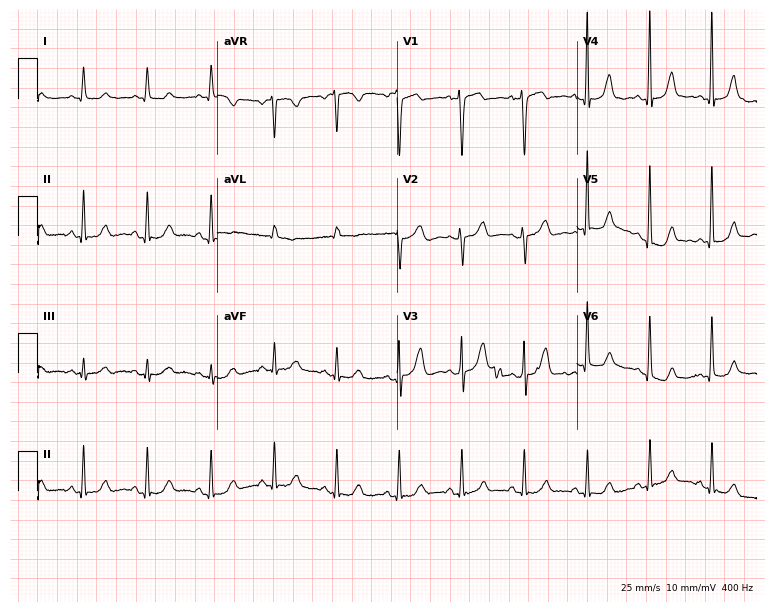
Standard 12-lead ECG recorded from a 71-year-old woman (7.3-second recording at 400 Hz). Read as a normal ECG.